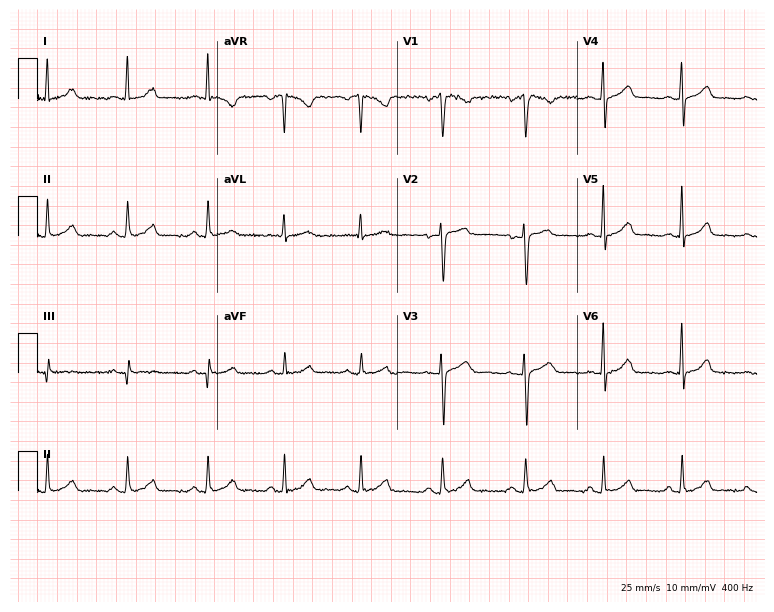
Resting 12-lead electrocardiogram (7.3-second recording at 400 Hz). Patient: a 57-year-old woman. Read as a normal ECG.